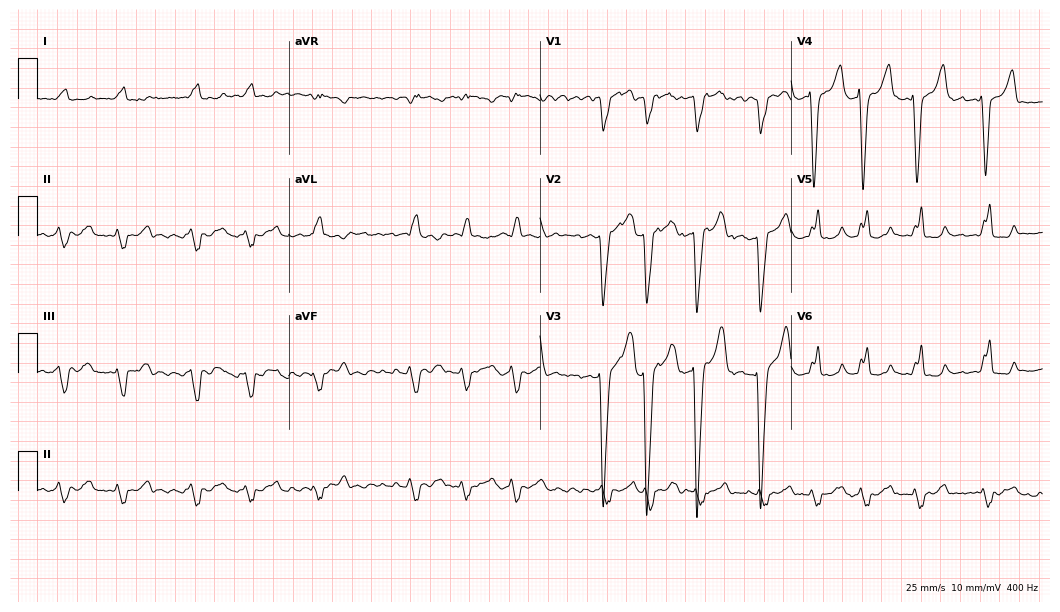
Standard 12-lead ECG recorded from a man, 75 years old (10.2-second recording at 400 Hz). The tracing shows left bundle branch block (LBBB), atrial fibrillation (AF).